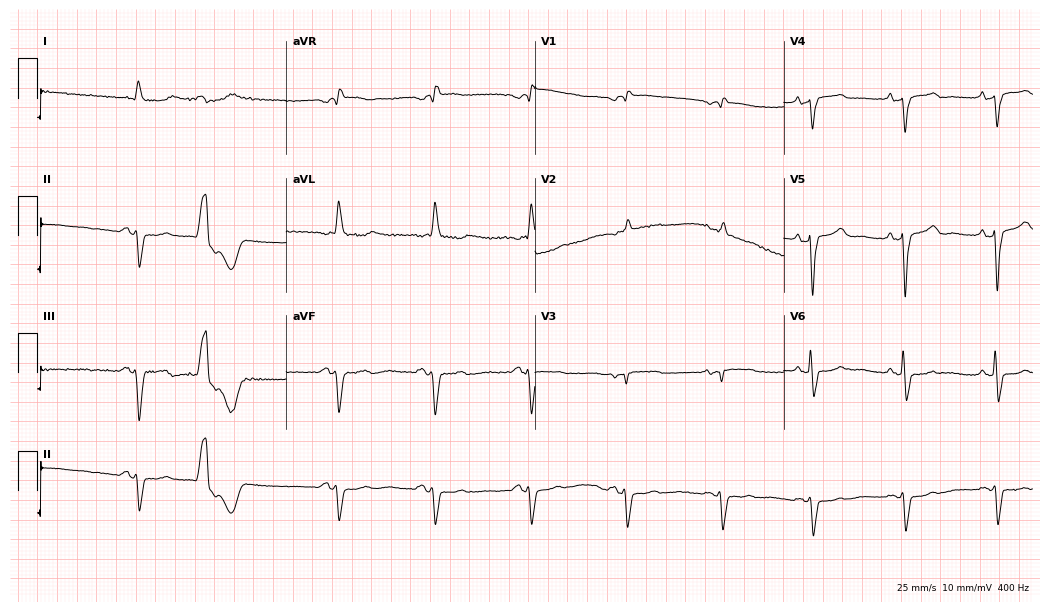
12-lead ECG from an 84-year-old woman (10.1-second recording at 400 Hz). No first-degree AV block, right bundle branch block, left bundle branch block, sinus bradycardia, atrial fibrillation or sinus tachycardia recorded for this tracing.